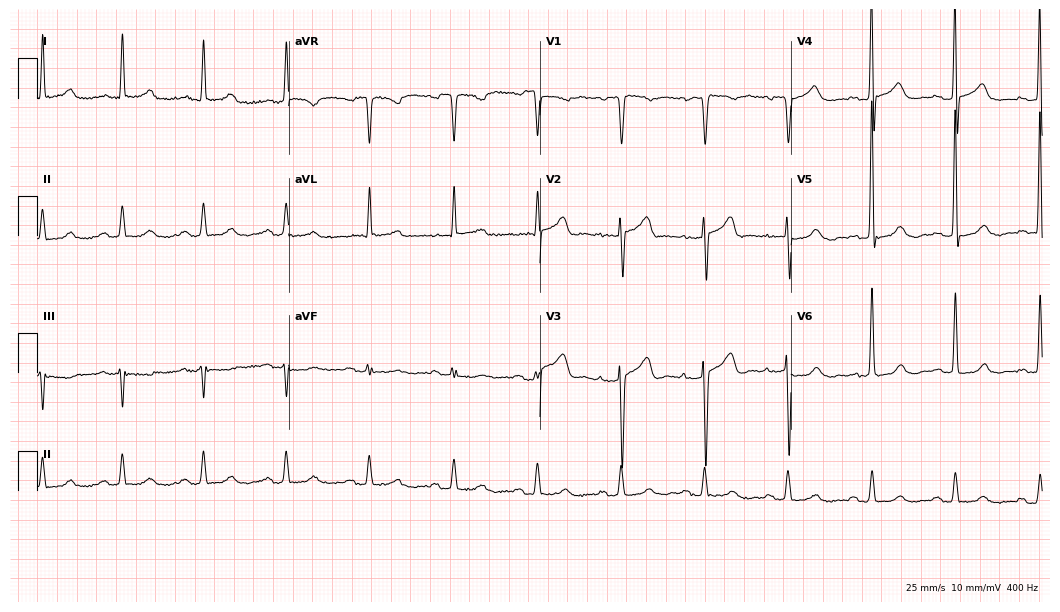
12-lead ECG from a 69-year-old man. Findings include first-degree AV block.